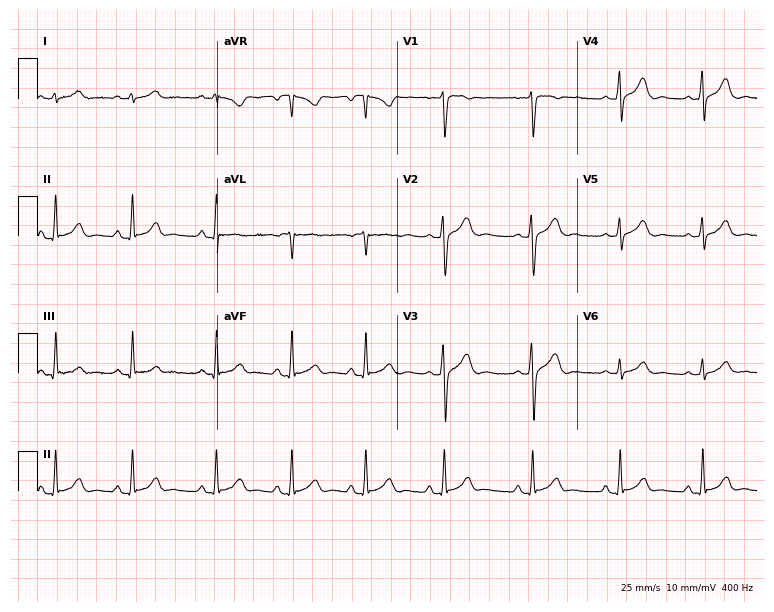
Resting 12-lead electrocardiogram. Patient: a 21-year-old woman. None of these six findings is recorded: first-degree AV block, right bundle branch block, left bundle branch block, sinus bradycardia, atrial fibrillation, sinus tachycardia. Only these six findings were labelled.